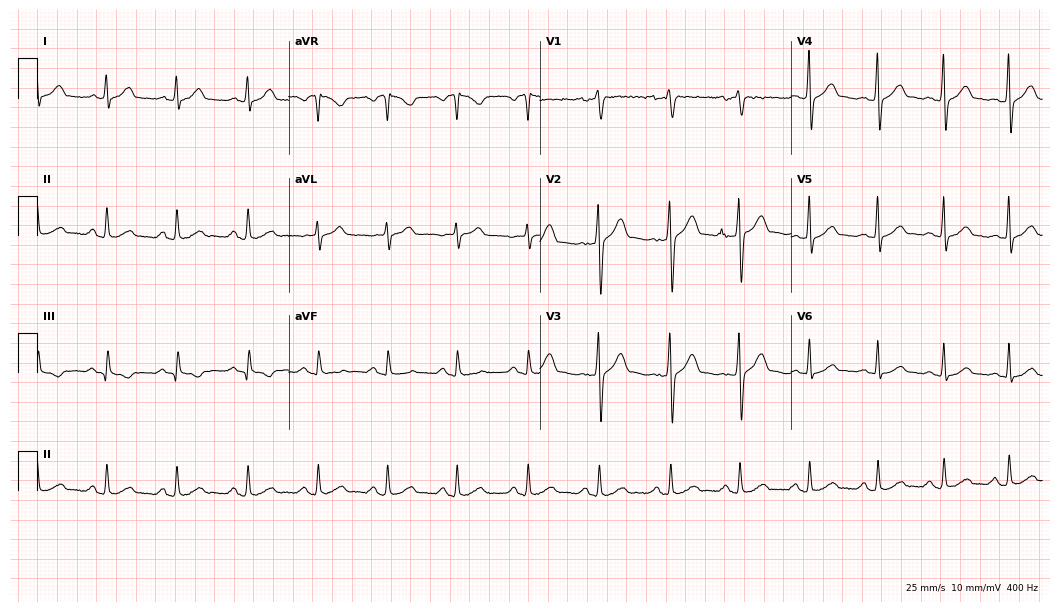
Electrocardiogram (10.2-second recording at 400 Hz), a male, 39 years old. Of the six screened findings (first-degree AV block, right bundle branch block (RBBB), left bundle branch block (LBBB), sinus bradycardia, atrial fibrillation (AF), sinus tachycardia), none is recorded. Only these six findings were labelled.